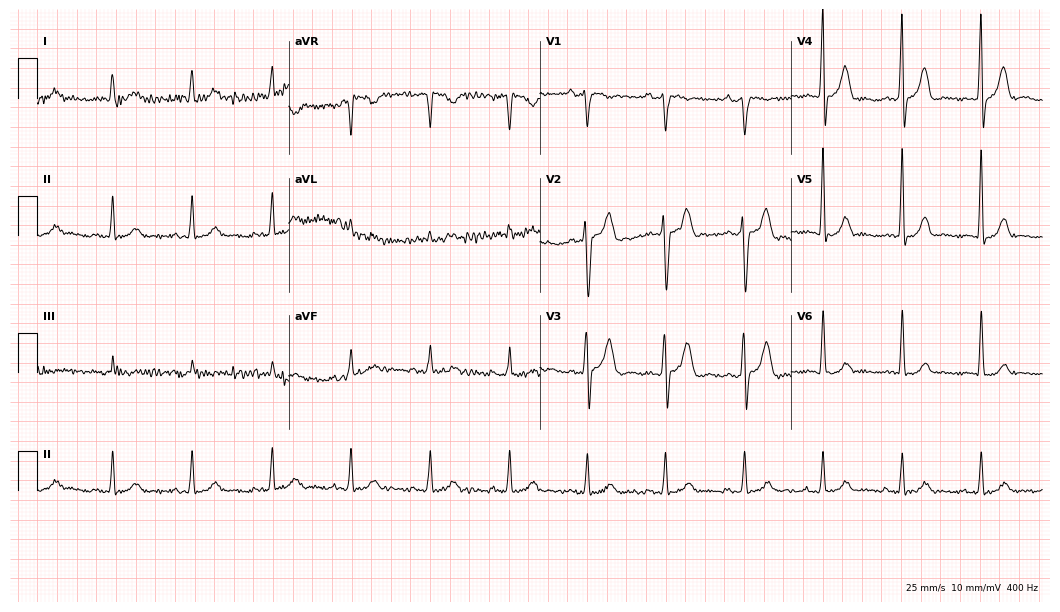
12-lead ECG from a male, 71 years old (10.2-second recording at 400 Hz). No first-degree AV block, right bundle branch block, left bundle branch block, sinus bradycardia, atrial fibrillation or sinus tachycardia recorded for this tracing.